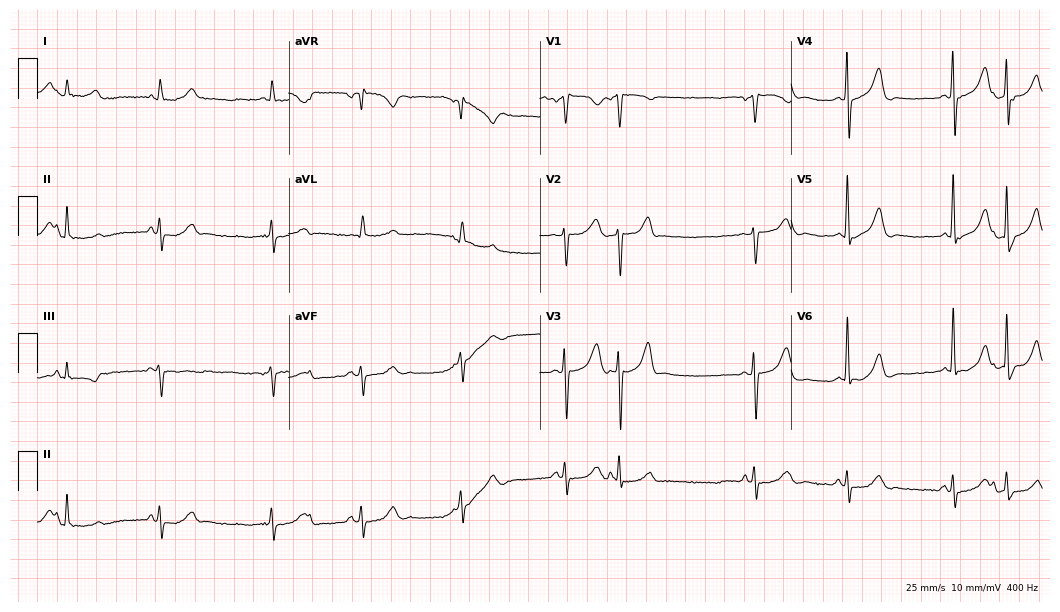
Resting 12-lead electrocardiogram. Patient: a male, 84 years old. None of these six findings is recorded: first-degree AV block, right bundle branch block, left bundle branch block, sinus bradycardia, atrial fibrillation, sinus tachycardia. Only these six findings were labelled.